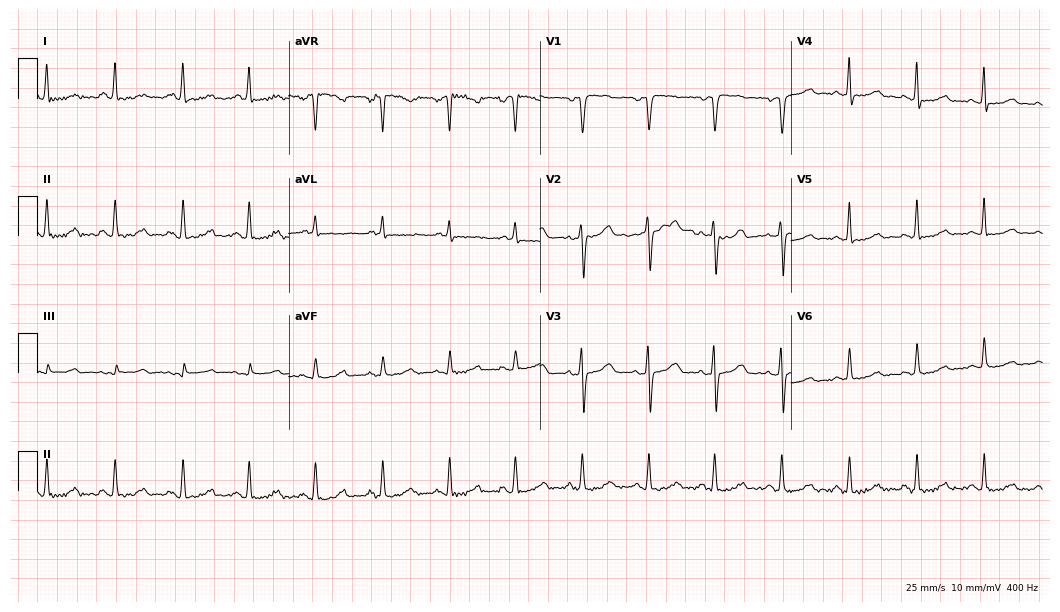
12-lead ECG from a female patient, 61 years old. Recorded interpretation: within normal limits.